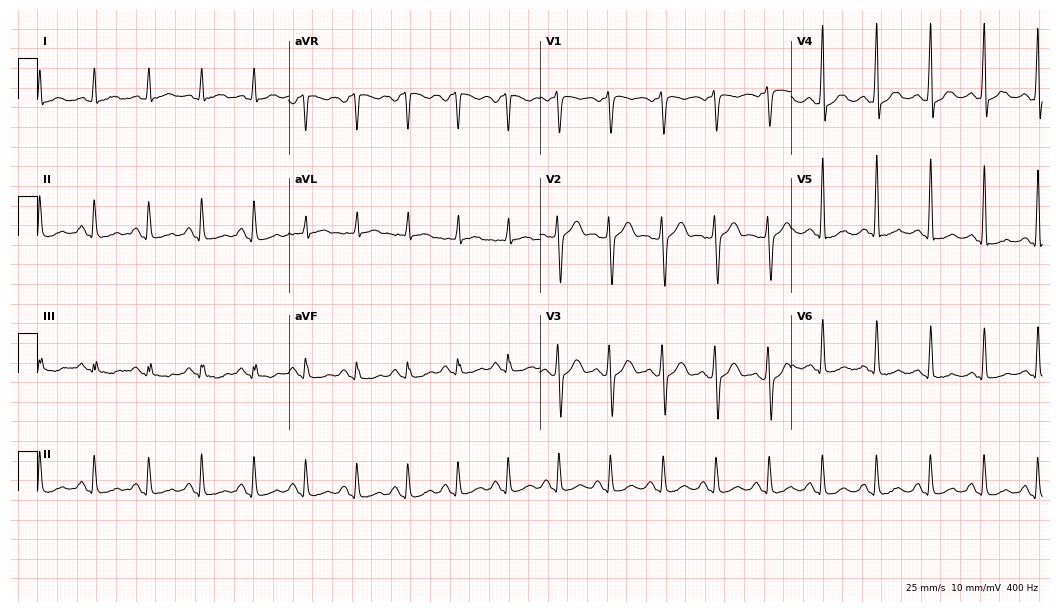
12-lead ECG from a male, 44 years old. Findings include sinus tachycardia (a sinus rate of 100 beats per minute or more).